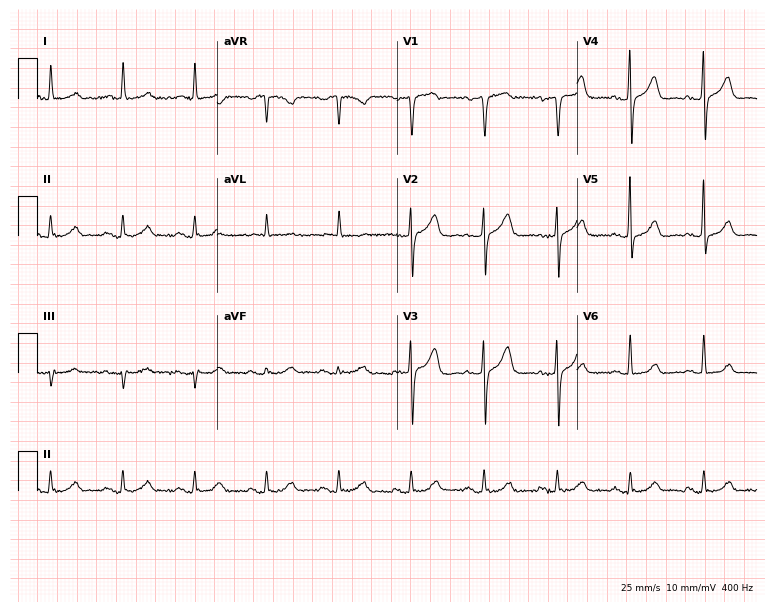
ECG (7.3-second recording at 400 Hz) — a 67-year-old female. Screened for six findings — first-degree AV block, right bundle branch block (RBBB), left bundle branch block (LBBB), sinus bradycardia, atrial fibrillation (AF), sinus tachycardia — none is recorded. Other findings, if any, are not listed.